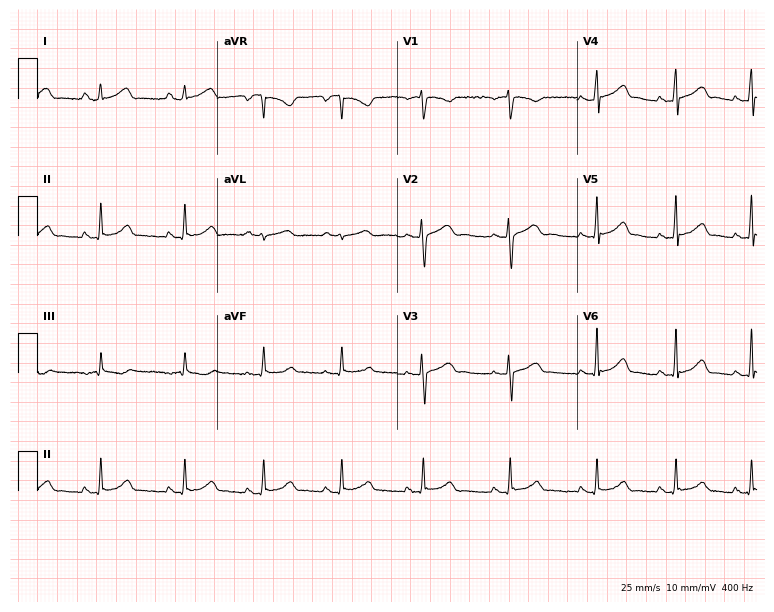
12-lead ECG from a female, 29 years old. Labelled as a normal ECG.